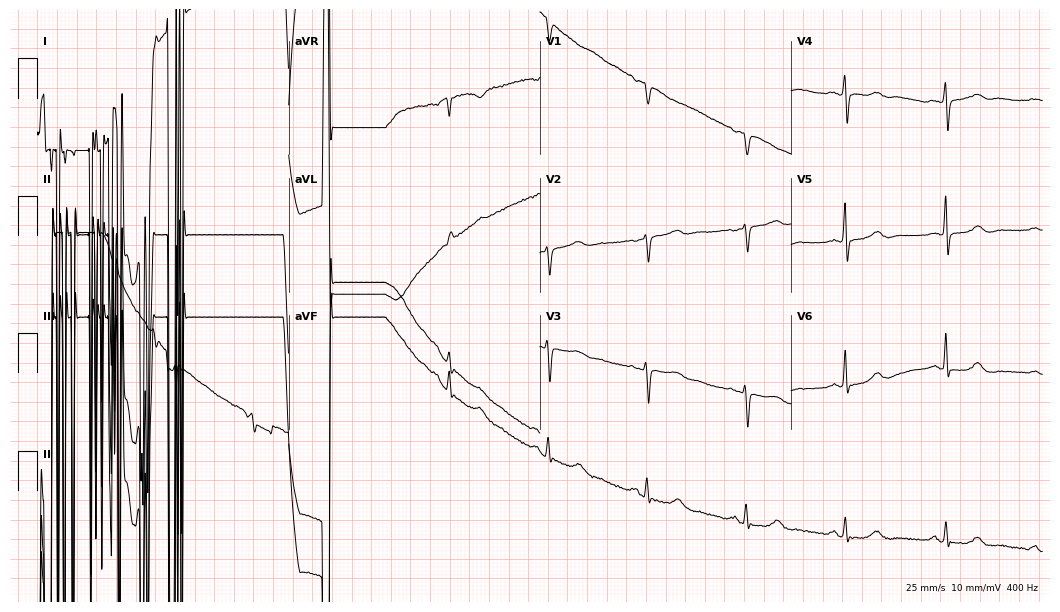
Standard 12-lead ECG recorded from a 76-year-old female. None of these six findings is recorded: first-degree AV block, right bundle branch block, left bundle branch block, sinus bradycardia, atrial fibrillation, sinus tachycardia. Only these six findings were labelled.